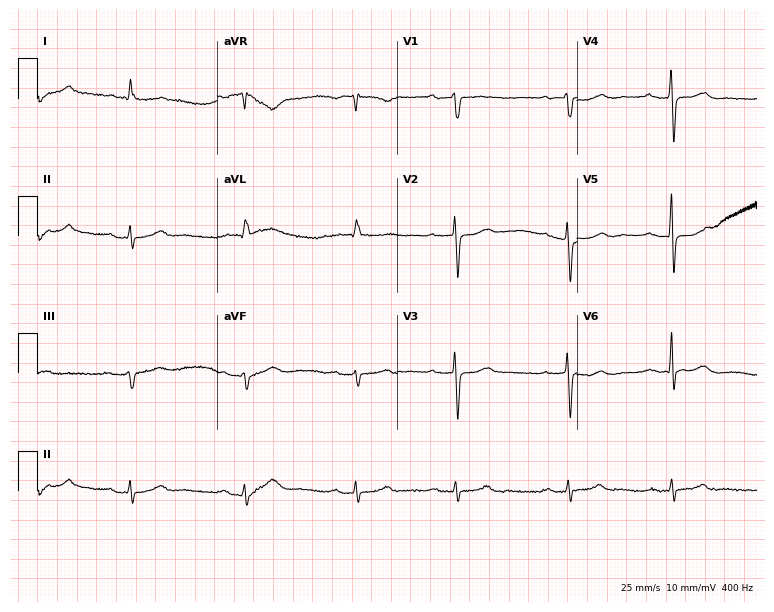
12-lead ECG from a male patient, 85 years old (7.3-second recording at 400 Hz). Shows first-degree AV block.